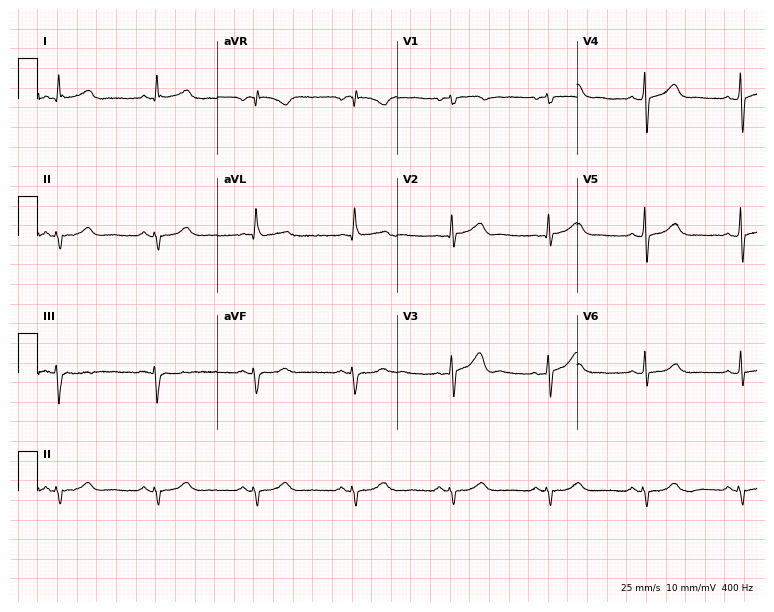
ECG (7.3-second recording at 400 Hz) — a male, 72 years old. Screened for six findings — first-degree AV block, right bundle branch block (RBBB), left bundle branch block (LBBB), sinus bradycardia, atrial fibrillation (AF), sinus tachycardia — none is recorded. Other findings, if any, are not listed.